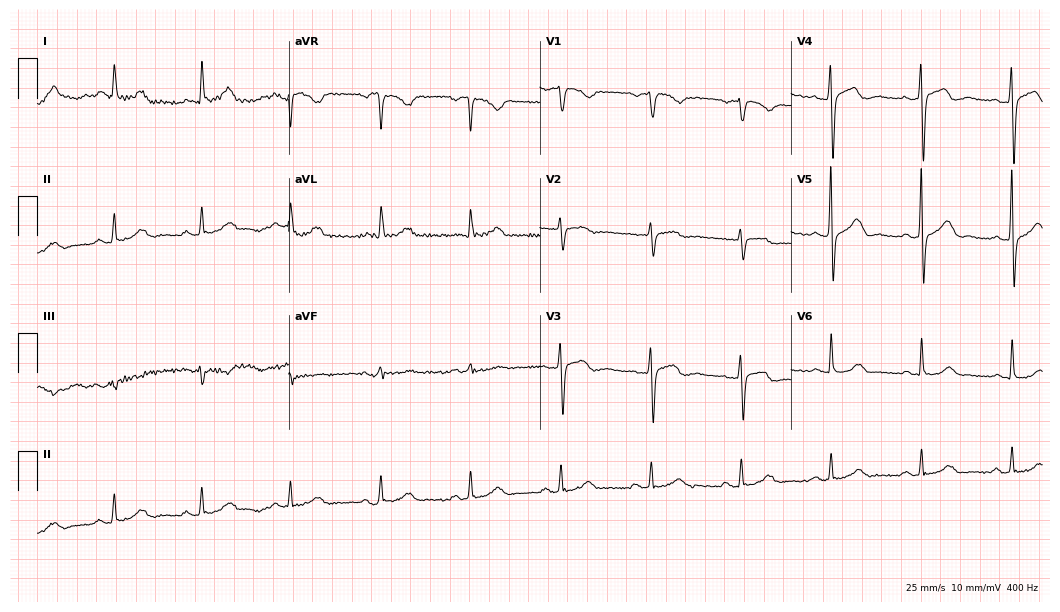
ECG — a female, 59 years old. Labelled as a normal ECG.